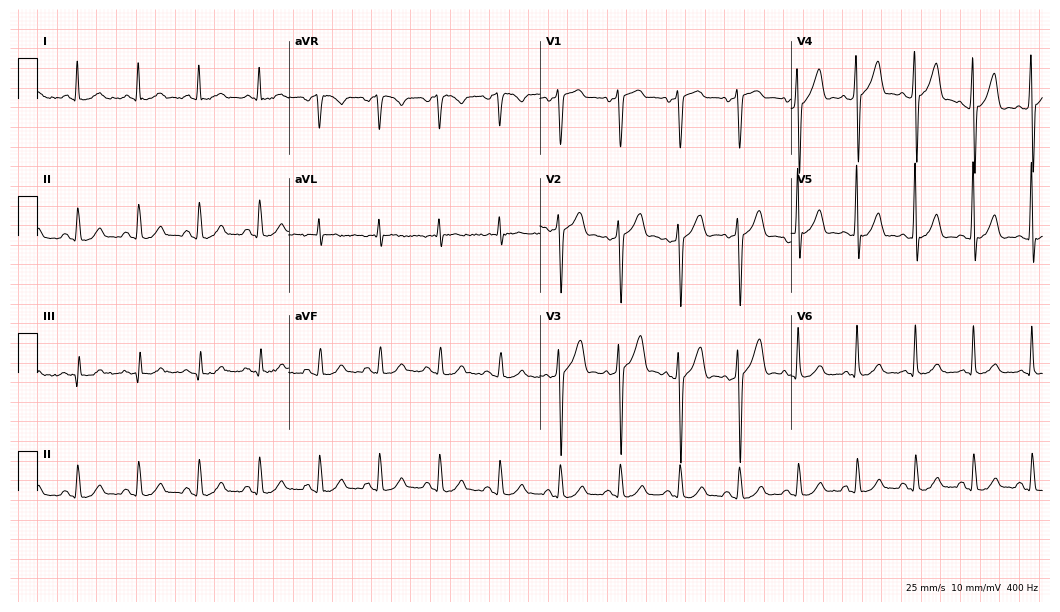
ECG — a male patient, 52 years old. Labelled as a normal ECG.